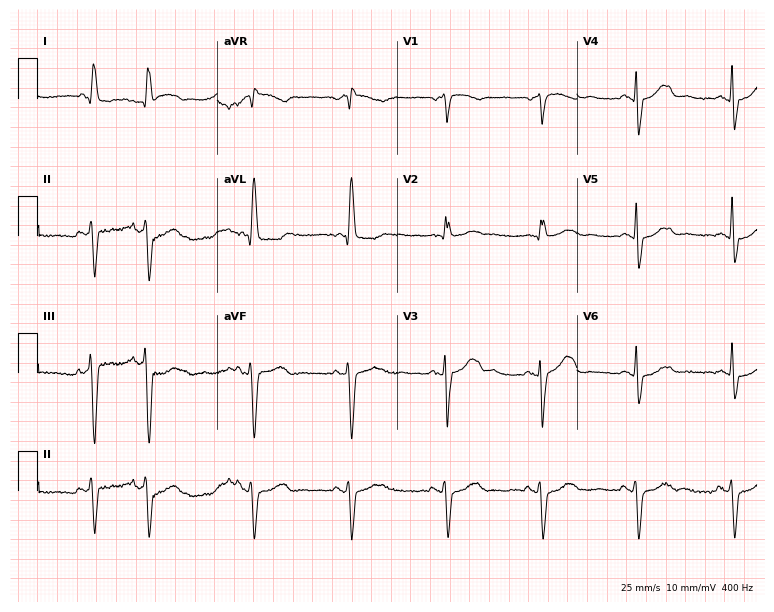
Standard 12-lead ECG recorded from a 77-year-old female patient. None of these six findings is recorded: first-degree AV block, right bundle branch block (RBBB), left bundle branch block (LBBB), sinus bradycardia, atrial fibrillation (AF), sinus tachycardia. Findings outside these six are not listed.